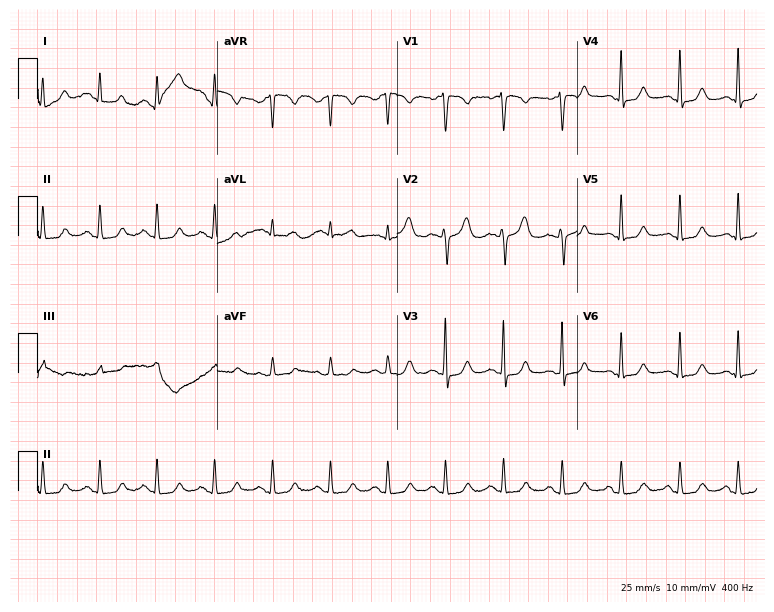
Electrocardiogram, a 33-year-old female. Overall reading on record: normal ECG.